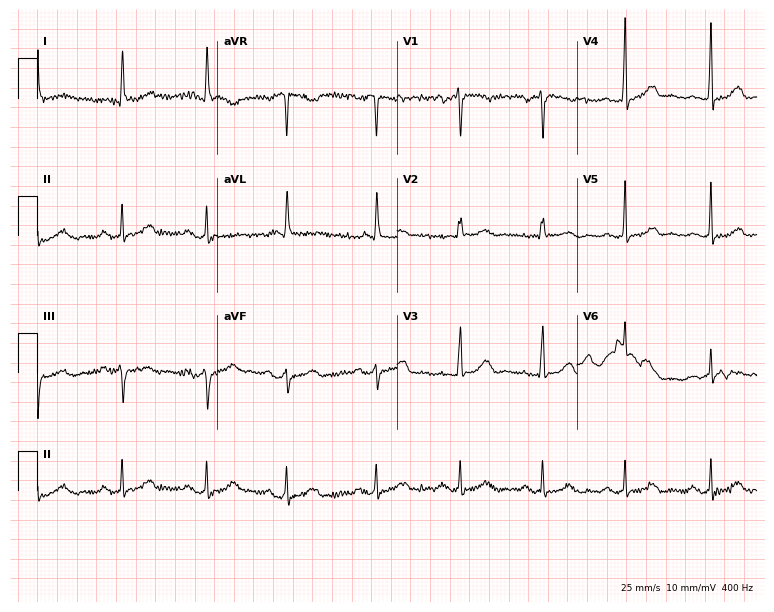
Electrocardiogram (7.3-second recording at 400 Hz), a female patient, 73 years old. Of the six screened findings (first-degree AV block, right bundle branch block, left bundle branch block, sinus bradycardia, atrial fibrillation, sinus tachycardia), none is recorded.